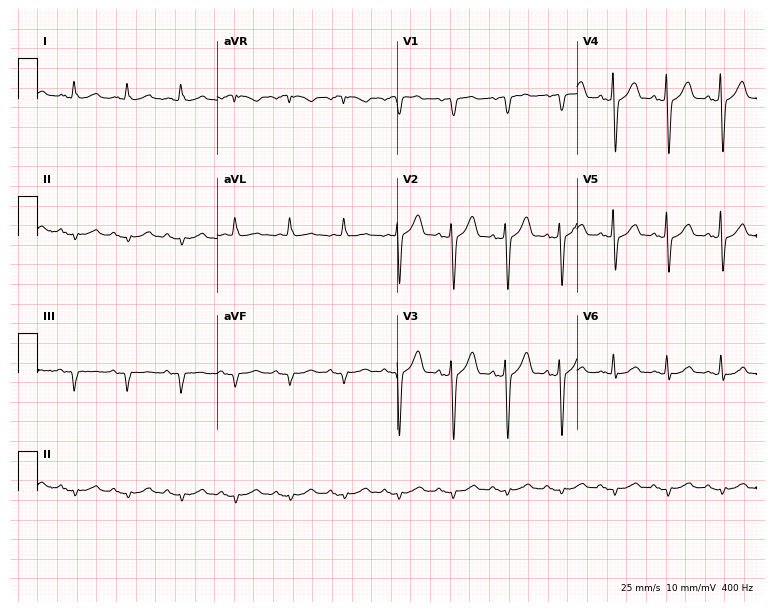
12-lead ECG from a man, 69 years old (7.3-second recording at 400 Hz). Shows sinus tachycardia (a sinus rate of 100 beats per minute or more).